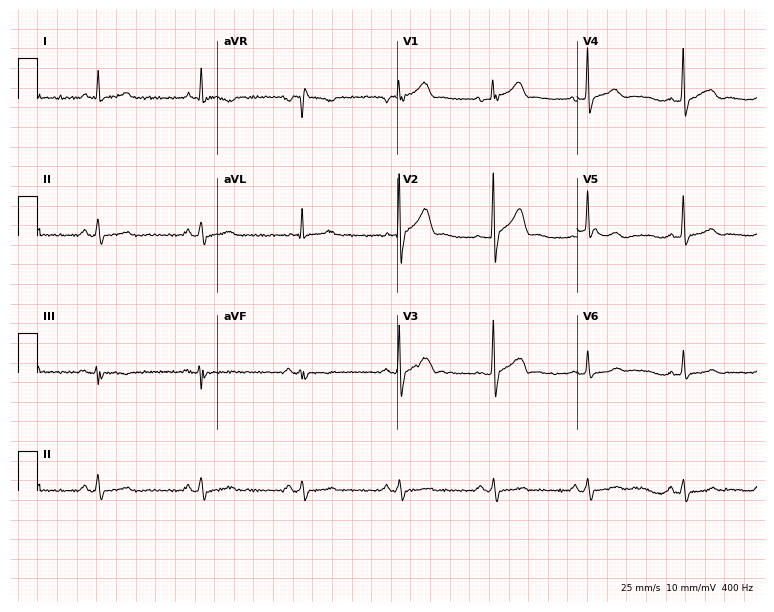
ECG (7.3-second recording at 400 Hz) — a male patient, 55 years old. Screened for six findings — first-degree AV block, right bundle branch block, left bundle branch block, sinus bradycardia, atrial fibrillation, sinus tachycardia — none is recorded.